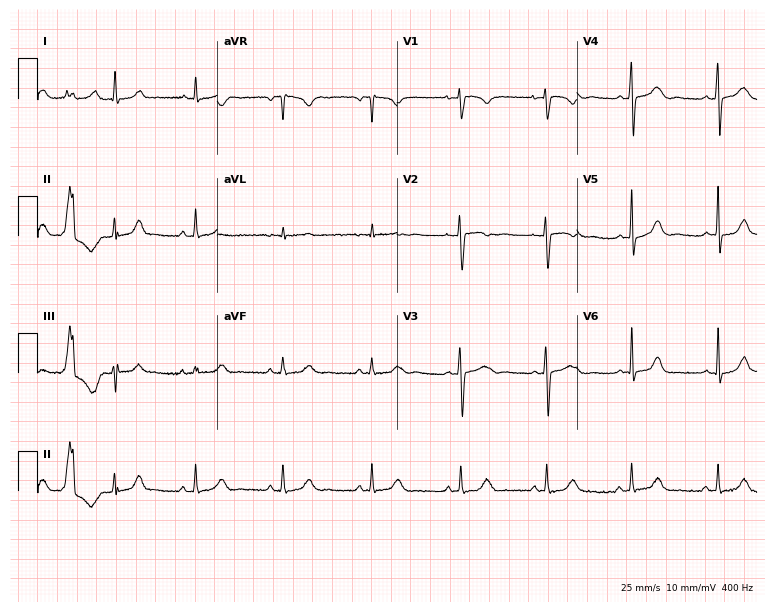
Standard 12-lead ECG recorded from a 37-year-old female (7.3-second recording at 400 Hz). None of these six findings is recorded: first-degree AV block, right bundle branch block, left bundle branch block, sinus bradycardia, atrial fibrillation, sinus tachycardia. Only these six findings were labelled.